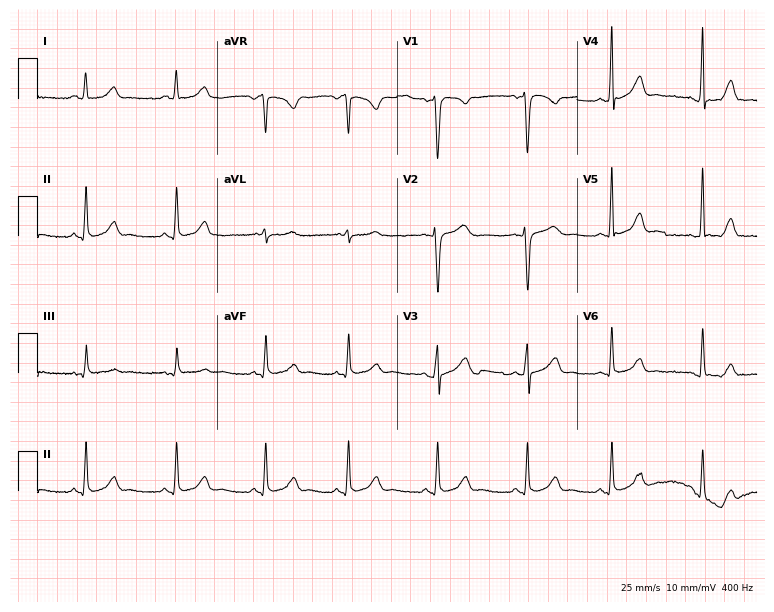
Resting 12-lead electrocardiogram. Patient: a 19-year-old female. Read as a normal ECG.